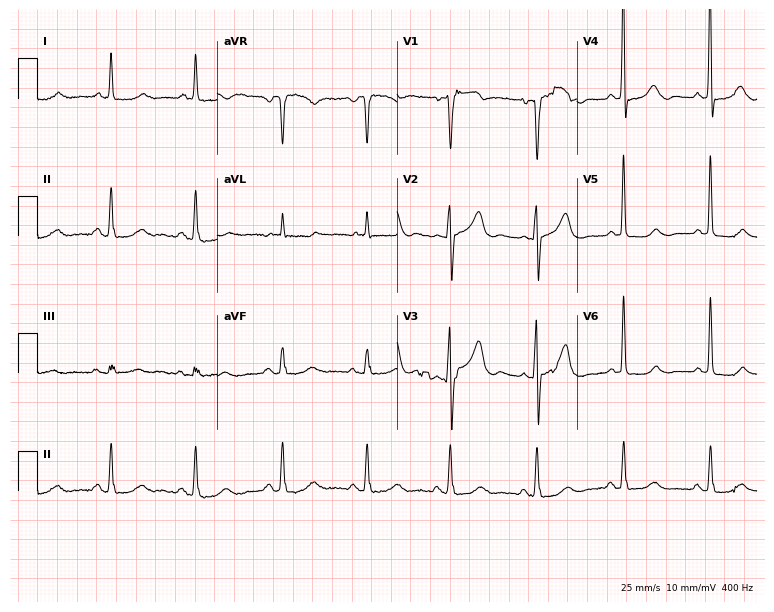
12-lead ECG from a 75-year-old male. No first-degree AV block, right bundle branch block, left bundle branch block, sinus bradycardia, atrial fibrillation or sinus tachycardia recorded for this tracing. Other findings, if any, are not listed.